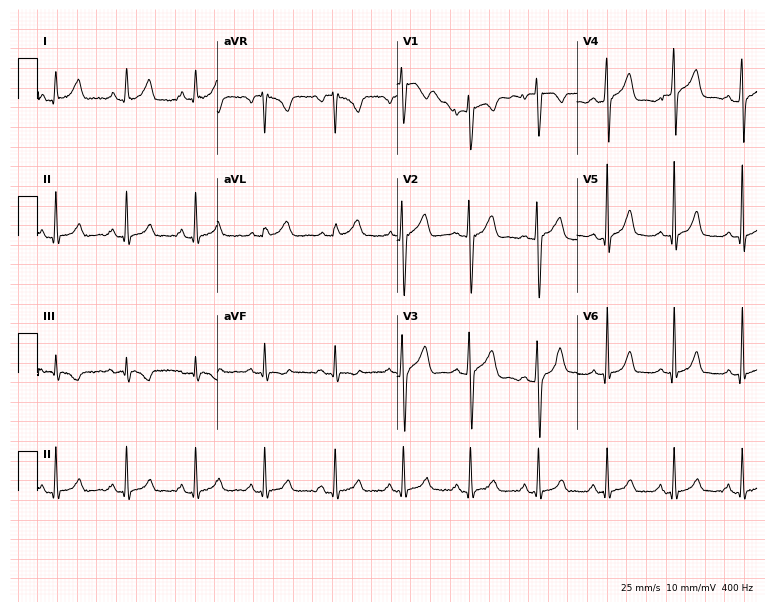
12-lead ECG from a 22-year-old male. No first-degree AV block, right bundle branch block, left bundle branch block, sinus bradycardia, atrial fibrillation or sinus tachycardia recorded for this tracing.